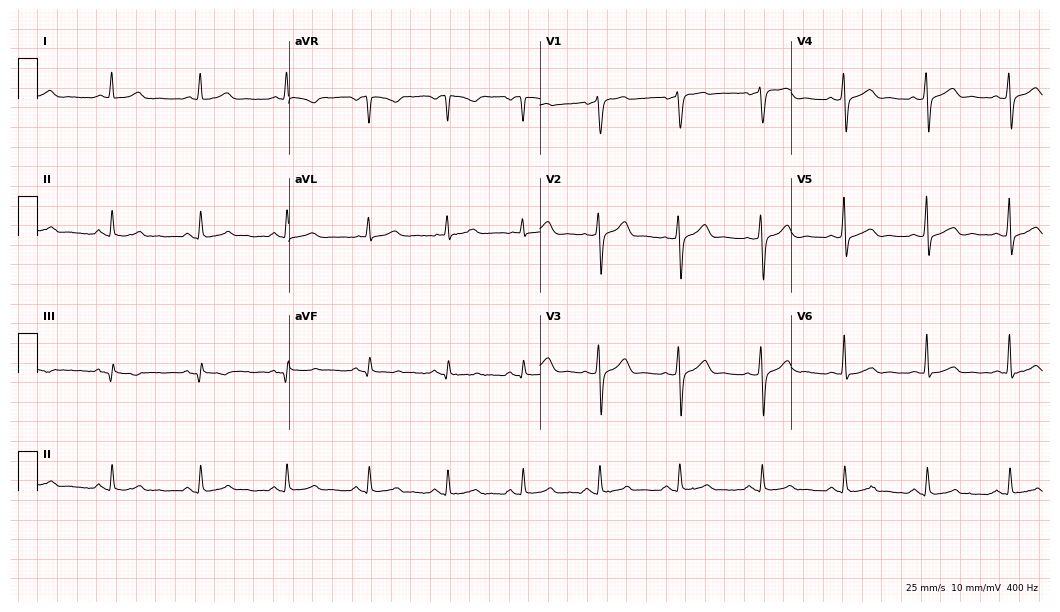
Standard 12-lead ECG recorded from a man, 46 years old. Read as a normal ECG.